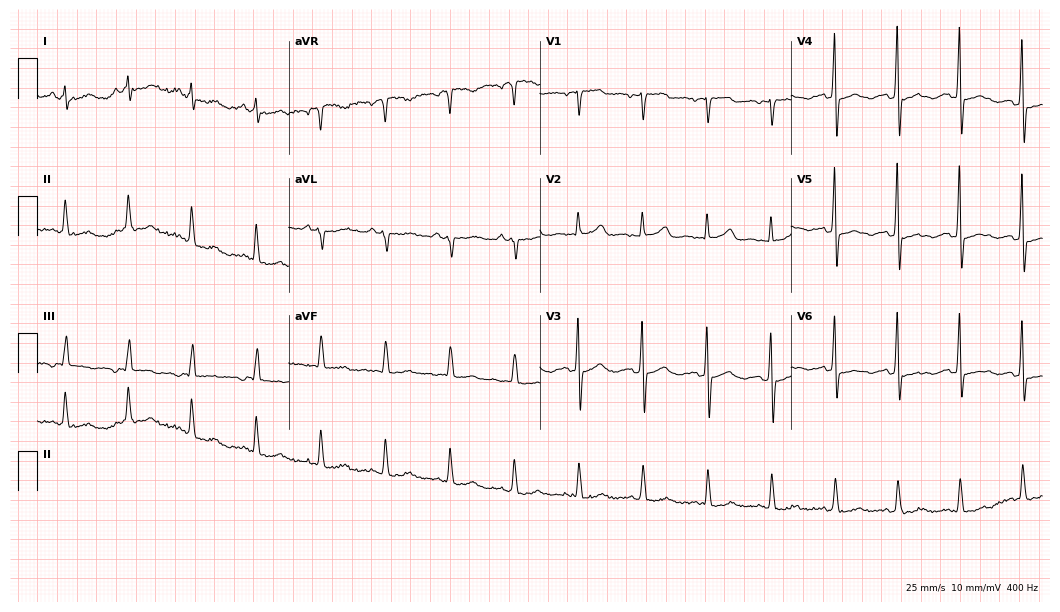
ECG — a woman, 67 years old. Screened for six findings — first-degree AV block, right bundle branch block, left bundle branch block, sinus bradycardia, atrial fibrillation, sinus tachycardia — none is recorded. Findings outside these six are not listed.